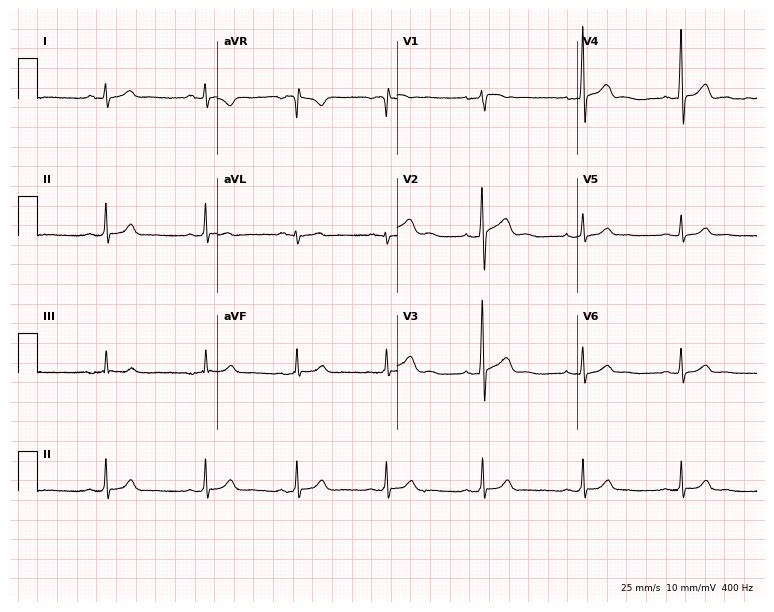
Resting 12-lead electrocardiogram (7.3-second recording at 400 Hz). Patient: a 24-year-old man. Read as a normal ECG.